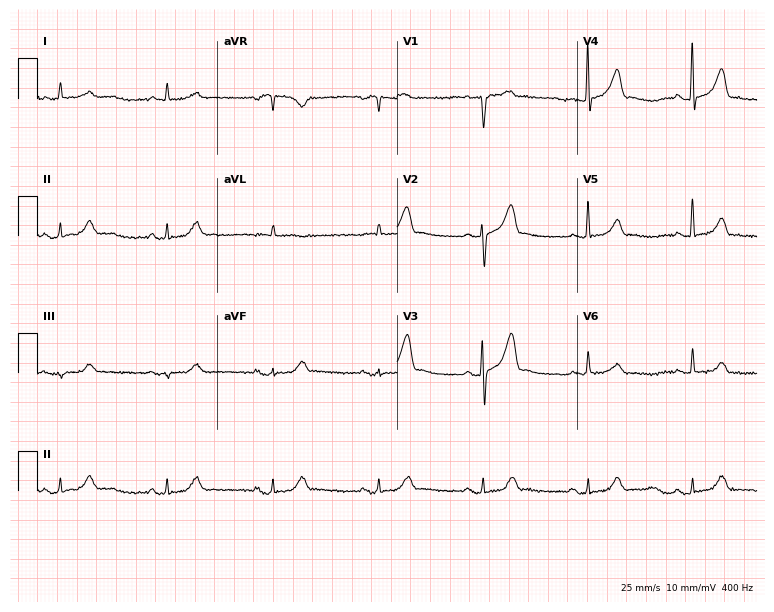
Resting 12-lead electrocardiogram (7.3-second recording at 400 Hz). Patient: a man, 81 years old. Read as a normal ECG.